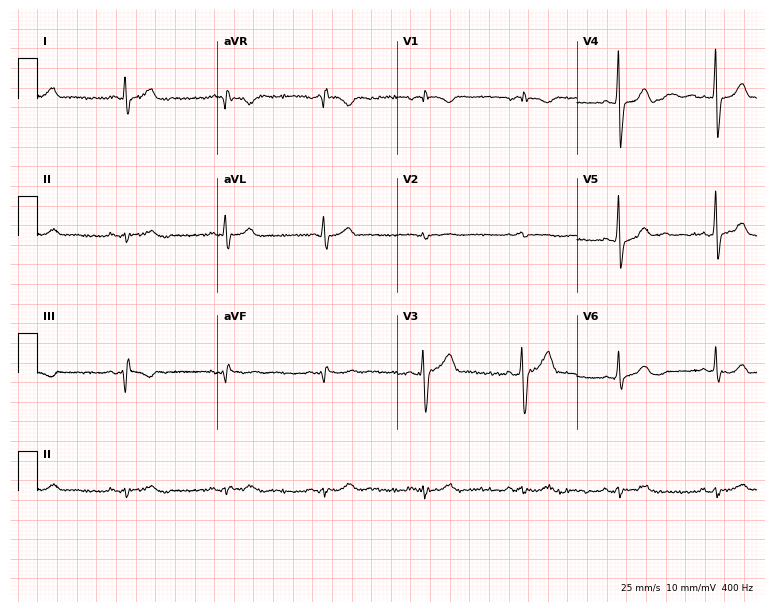
Electrocardiogram (7.3-second recording at 400 Hz), a male, 43 years old. Of the six screened findings (first-degree AV block, right bundle branch block (RBBB), left bundle branch block (LBBB), sinus bradycardia, atrial fibrillation (AF), sinus tachycardia), none is recorded. Findings outside these six are not listed.